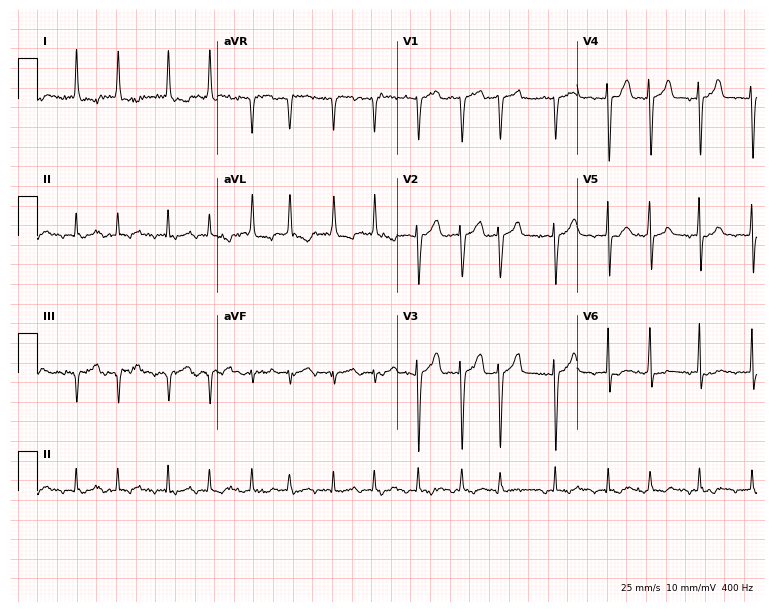
Electrocardiogram, an 83-year-old female. Interpretation includes atrial fibrillation (AF).